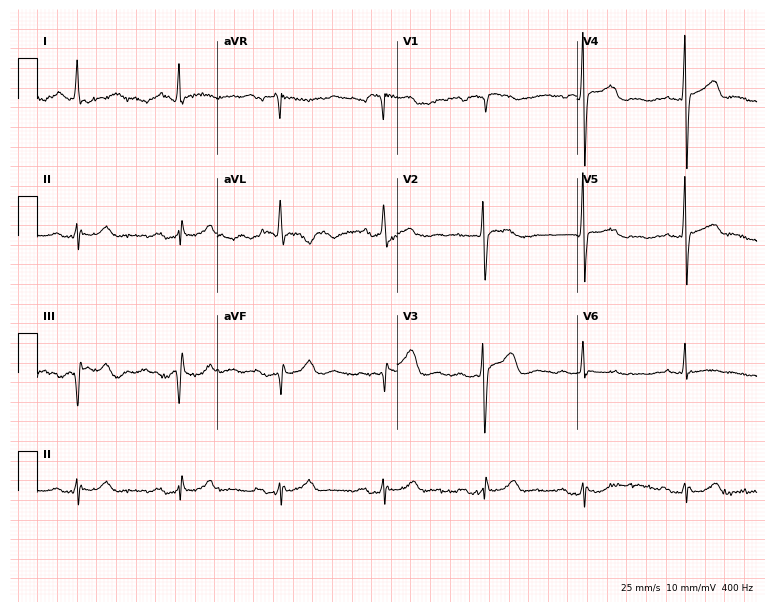
Resting 12-lead electrocardiogram. Patient: a male, 80 years old. None of these six findings is recorded: first-degree AV block, right bundle branch block, left bundle branch block, sinus bradycardia, atrial fibrillation, sinus tachycardia. Findings outside these six are not listed.